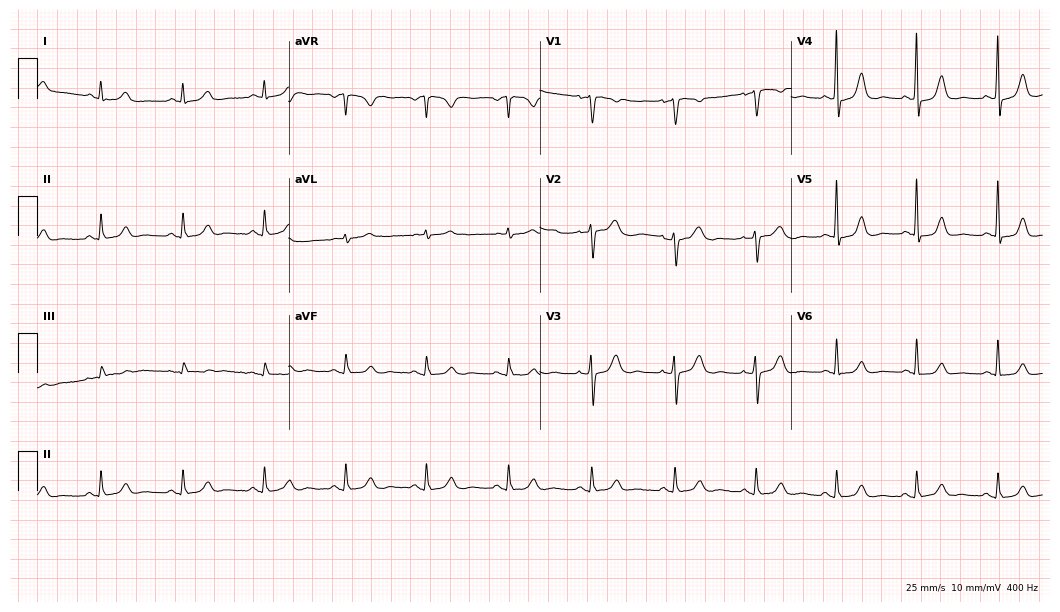
12-lead ECG from a female patient, 63 years old (10.2-second recording at 400 Hz). Recorded interpretation: within normal limits.